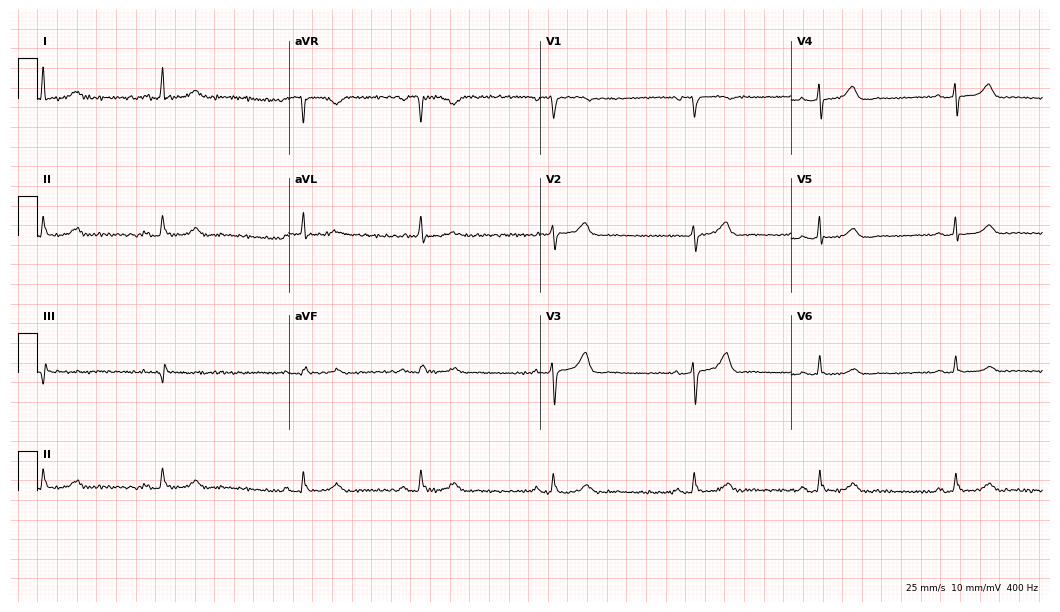
Standard 12-lead ECG recorded from a female, 73 years old (10.2-second recording at 400 Hz). The tracing shows sinus bradycardia (a sinus rate of 50 beats per minute or less).